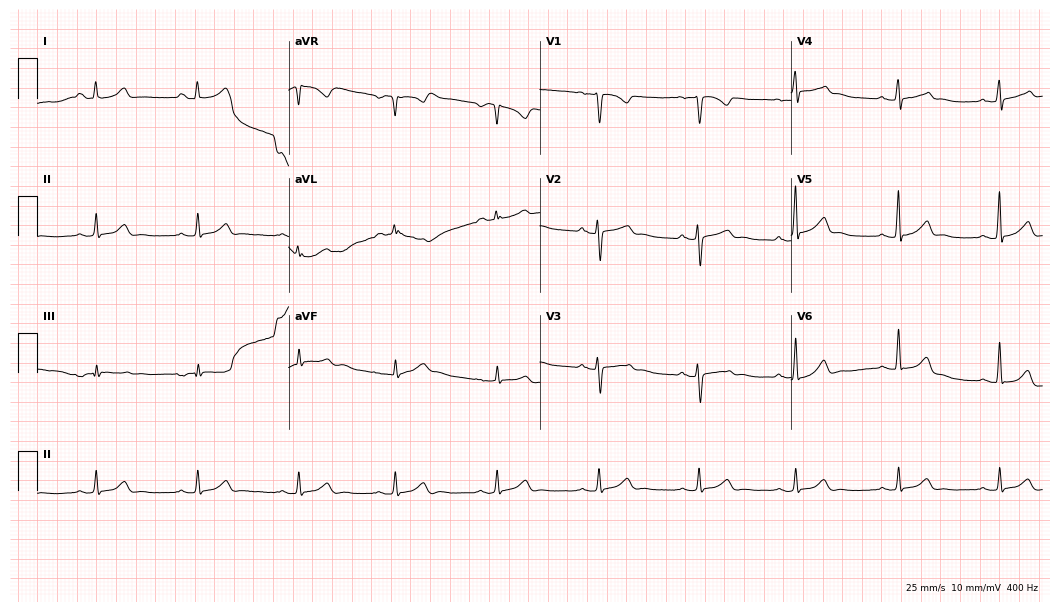
Resting 12-lead electrocardiogram. Patient: a 31-year-old woman. Read as a normal ECG.